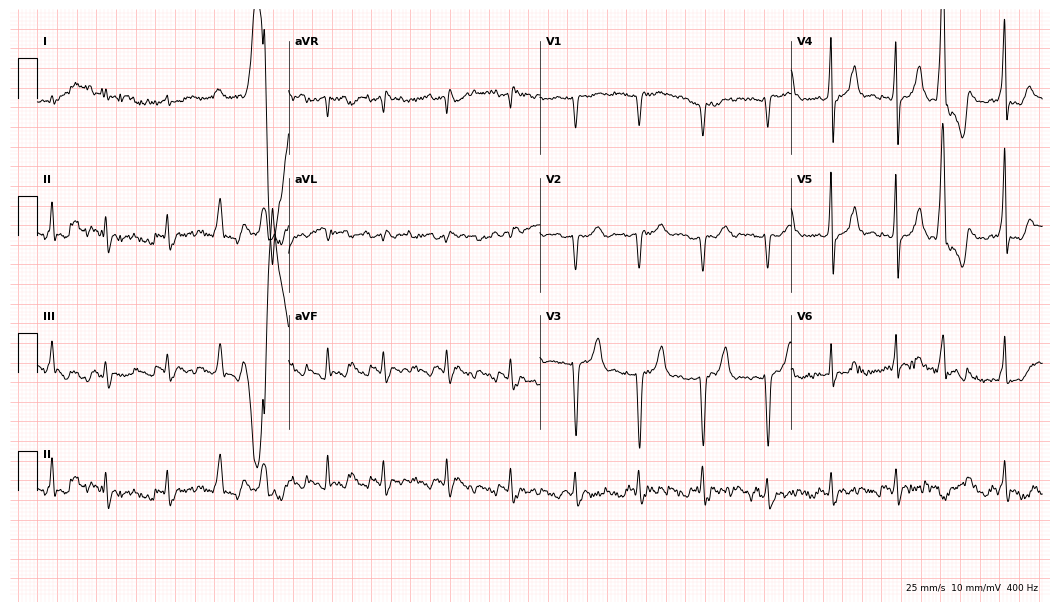
Electrocardiogram, a man, 81 years old. Of the six screened findings (first-degree AV block, right bundle branch block, left bundle branch block, sinus bradycardia, atrial fibrillation, sinus tachycardia), none is recorded. Findings outside these six are not listed.